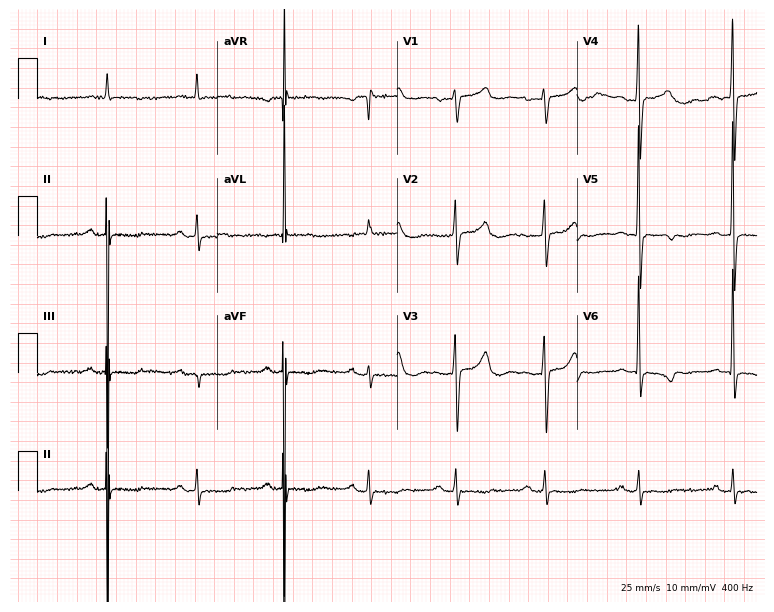
Resting 12-lead electrocardiogram (7.3-second recording at 400 Hz). Patient: a man, 82 years old. None of these six findings is recorded: first-degree AV block, right bundle branch block, left bundle branch block, sinus bradycardia, atrial fibrillation, sinus tachycardia.